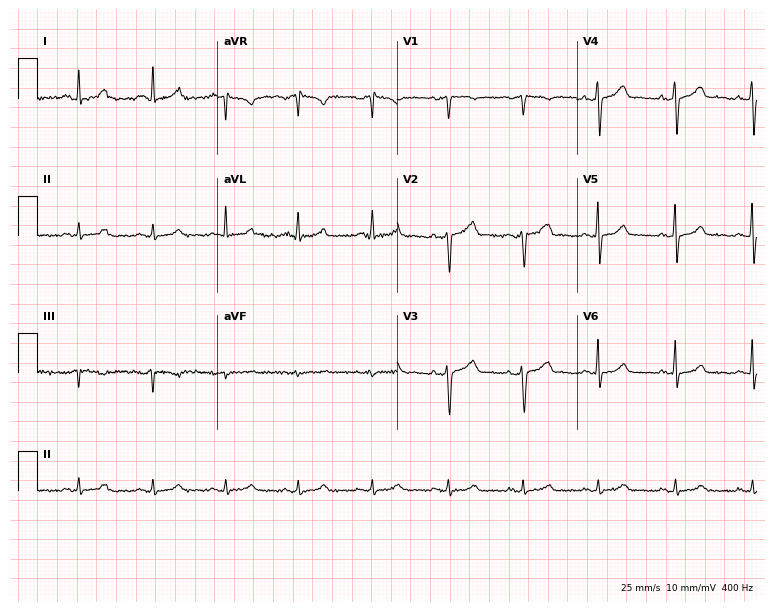
12-lead ECG from a female patient, 46 years old. Labelled as a normal ECG.